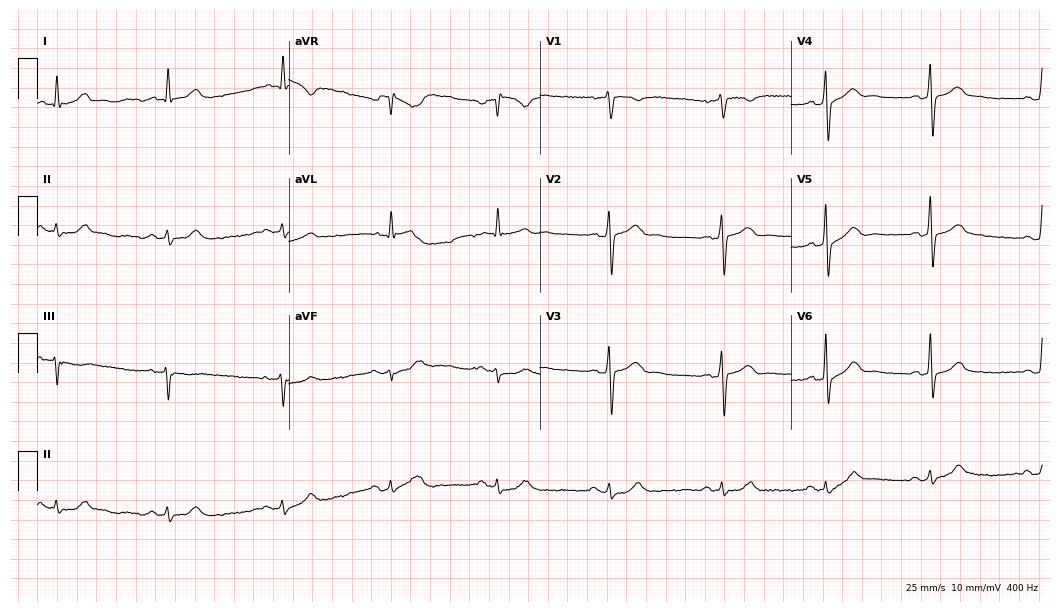
Resting 12-lead electrocardiogram. Patient: a 56-year-old male. Read as a normal ECG.